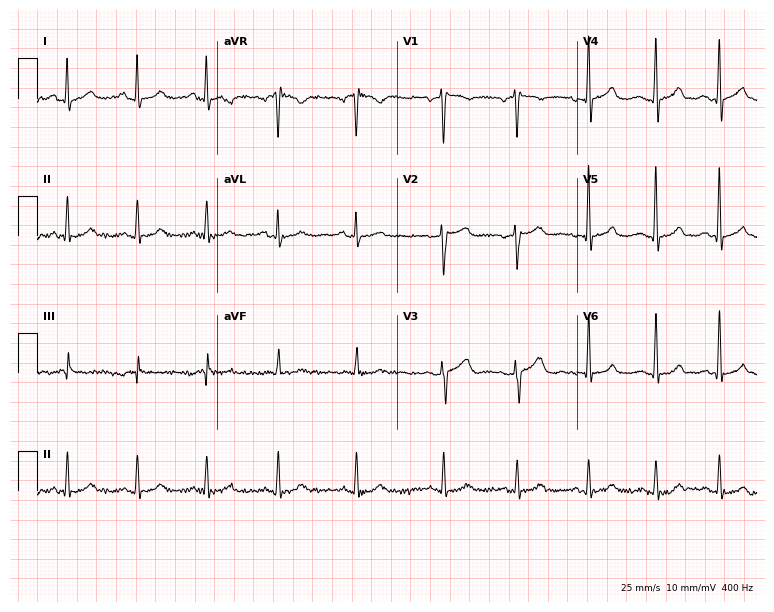
12-lead ECG from a male, 49 years old (7.3-second recording at 400 Hz). Recorded interpretation: within normal limits.